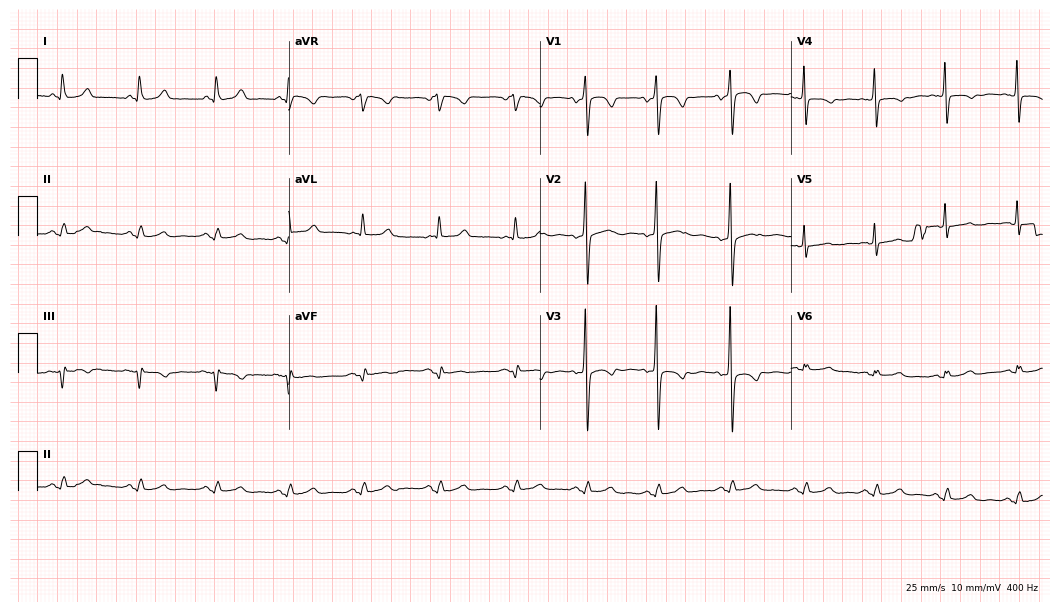
Resting 12-lead electrocardiogram. Patient: a 63-year-old female. None of these six findings is recorded: first-degree AV block, right bundle branch block, left bundle branch block, sinus bradycardia, atrial fibrillation, sinus tachycardia.